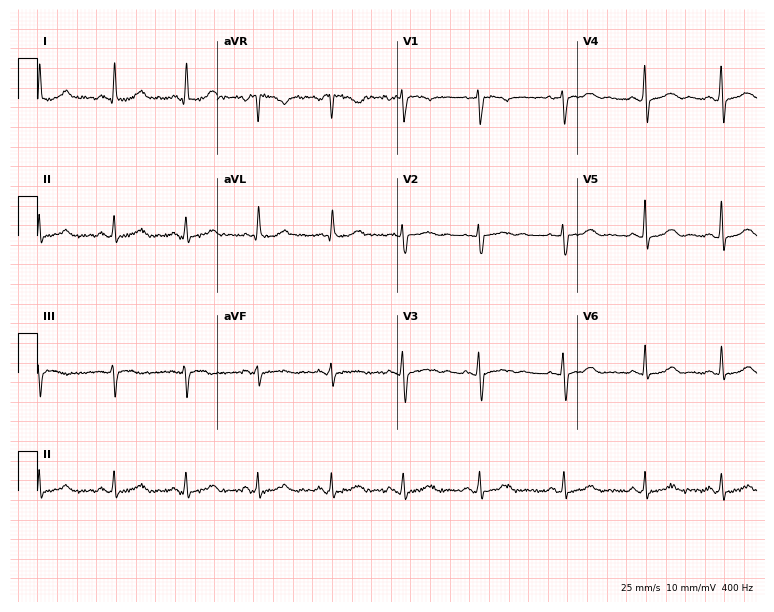
Standard 12-lead ECG recorded from a woman, 41 years old (7.3-second recording at 400 Hz). Read as a normal ECG.